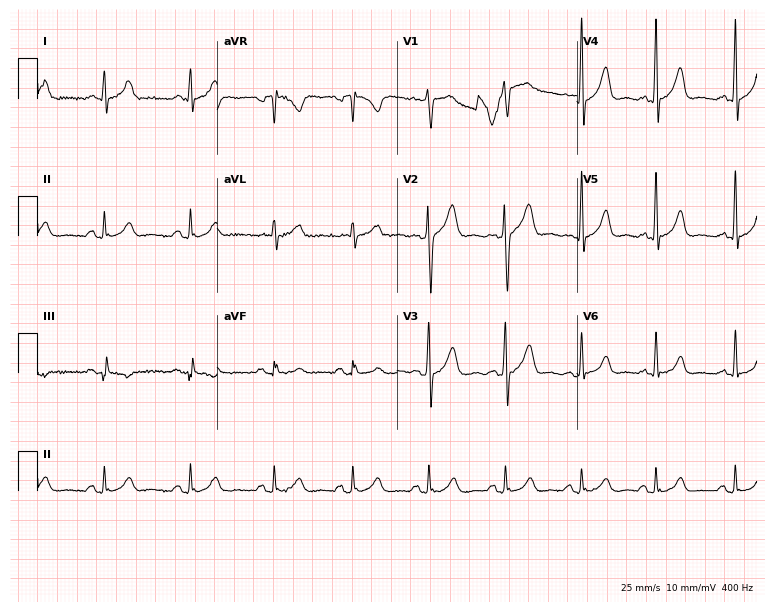
ECG (7.3-second recording at 400 Hz) — a male patient, 51 years old. Screened for six findings — first-degree AV block, right bundle branch block, left bundle branch block, sinus bradycardia, atrial fibrillation, sinus tachycardia — none is recorded.